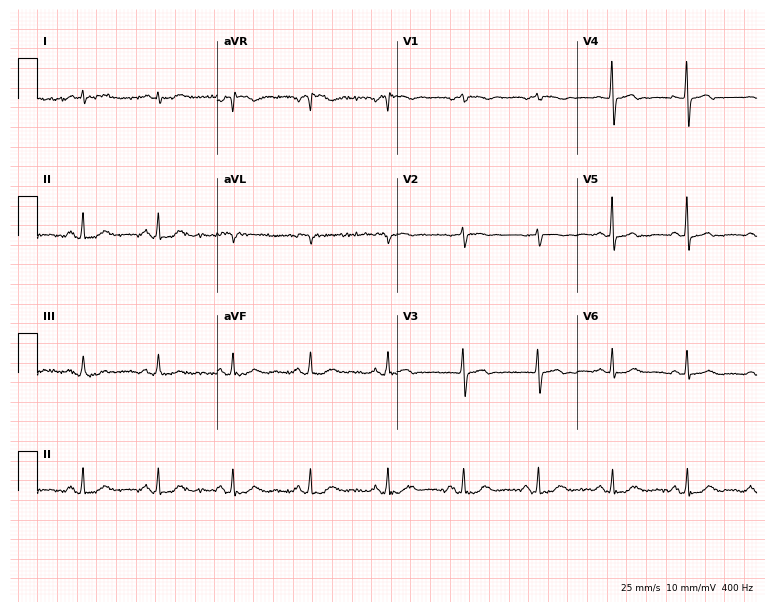
12-lead ECG from a 72-year-old woman. No first-degree AV block, right bundle branch block, left bundle branch block, sinus bradycardia, atrial fibrillation or sinus tachycardia recorded for this tracing. Findings outside these six are not listed.